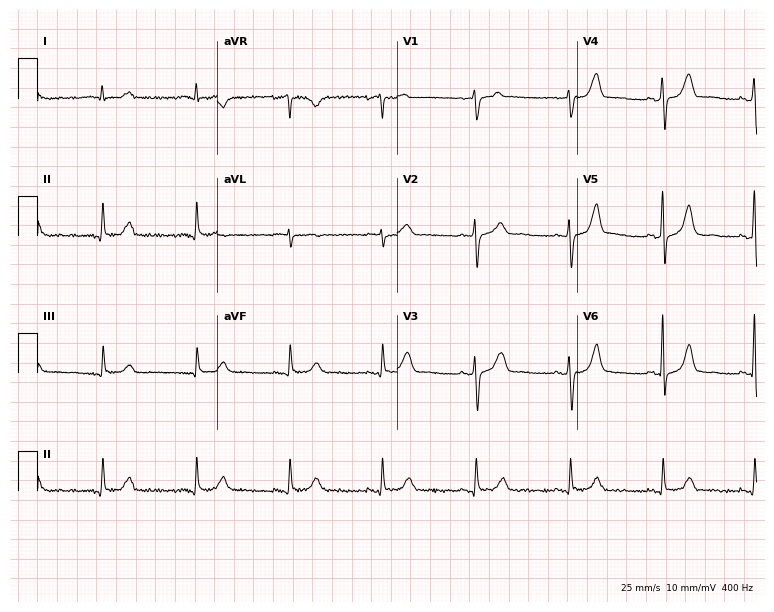
ECG (7.3-second recording at 400 Hz) — a 63-year-old man. Labelled as a normal ECG.